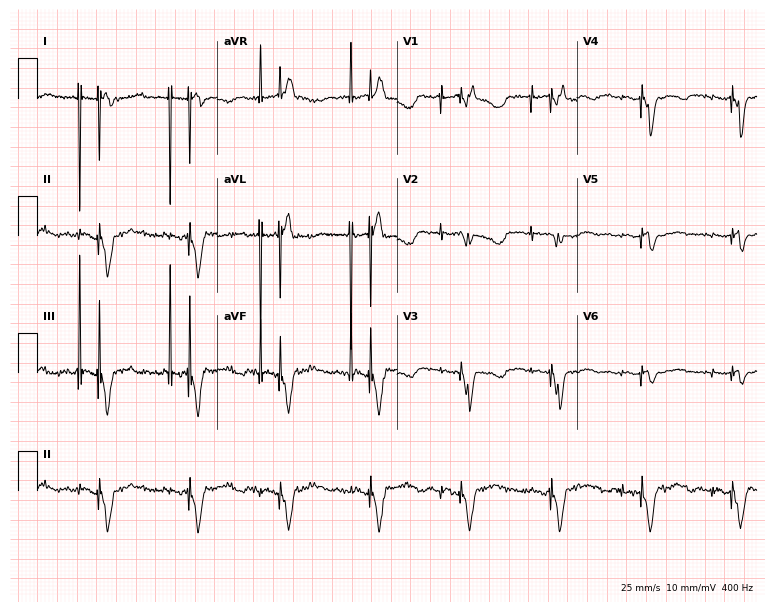
ECG (7.3-second recording at 400 Hz) — a 79-year-old woman. Screened for six findings — first-degree AV block, right bundle branch block (RBBB), left bundle branch block (LBBB), sinus bradycardia, atrial fibrillation (AF), sinus tachycardia — none is recorded.